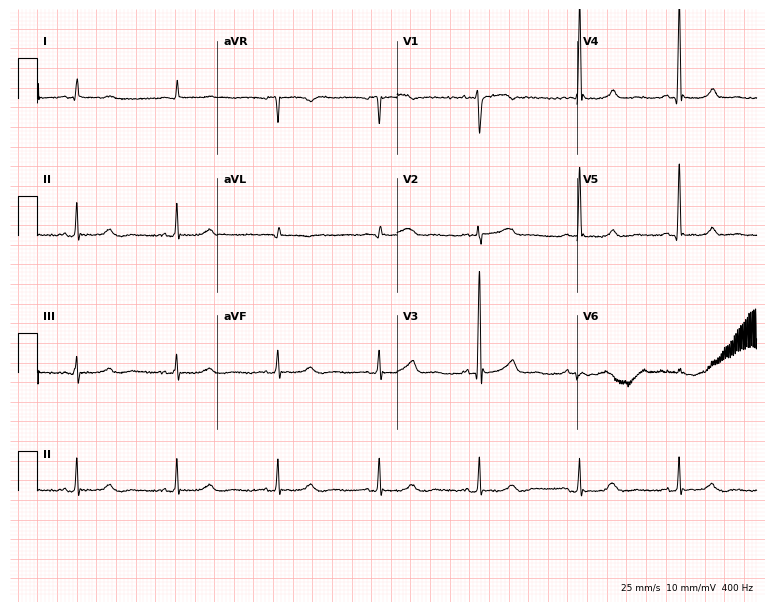
ECG (7.3-second recording at 400 Hz) — a 61-year-old female patient. Labelled as a normal ECG.